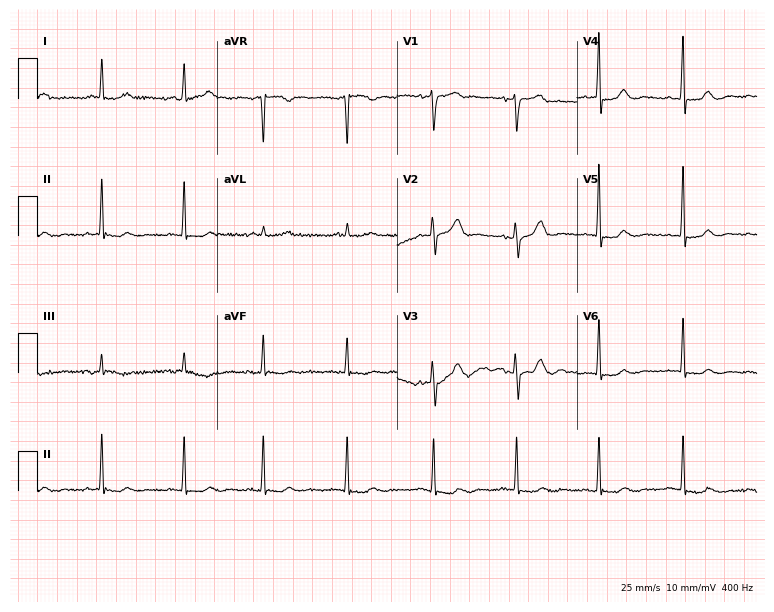
Electrocardiogram (7.3-second recording at 400 Hz), a female patient, 47 years old. Of the six screened findings (first-degree AV block, right bundle branch block (RBBB), left bundle branch block (LBBB), sinus bradycardia, atrial fibrillation (AF), sinus tachycardia), none is recorded. Only these six findings were labelled.